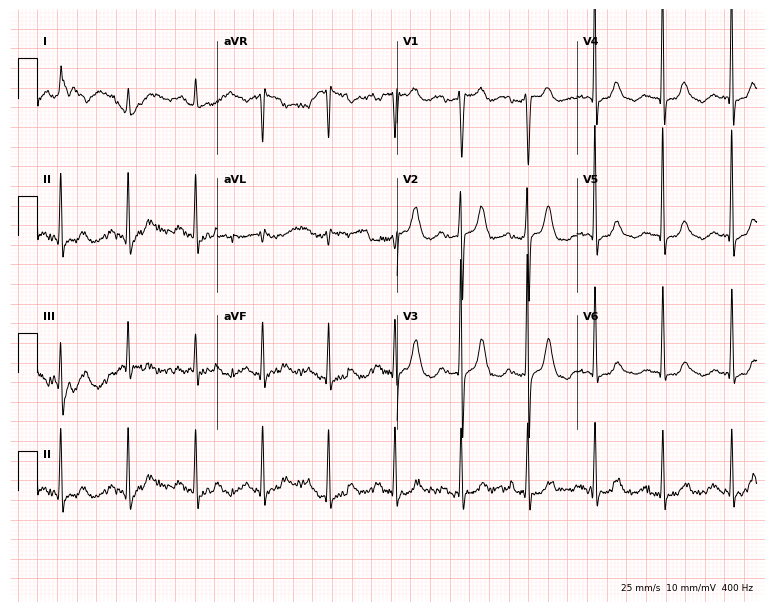
12-lead ECG from a female, 77 years old. Screened for six findings — first-degree AV block, right bundle branch block, left bundle branch block, sinus bradycardia, atrial fibrillation, sinus tachycardia — none is recorded. Only these six findings were labelled.